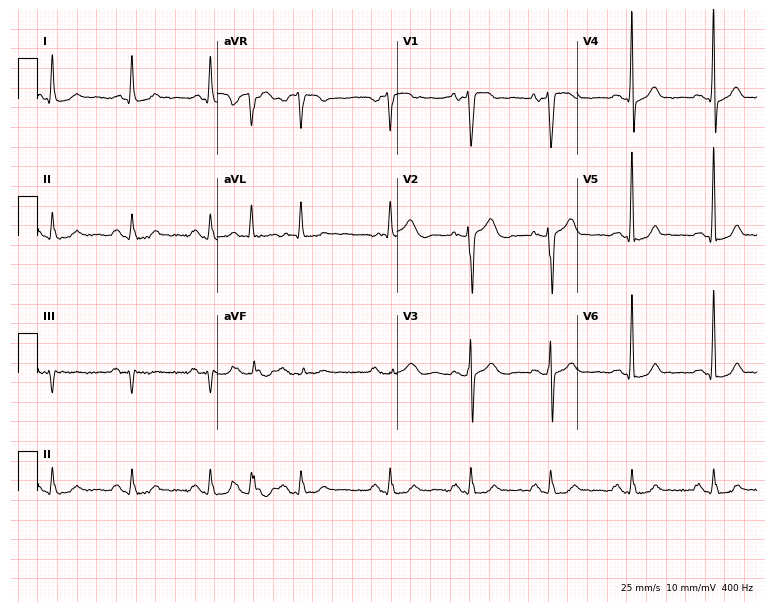
12-lead ECG from an 82-year-old male patient. Recorded interpretation: within normal limits.